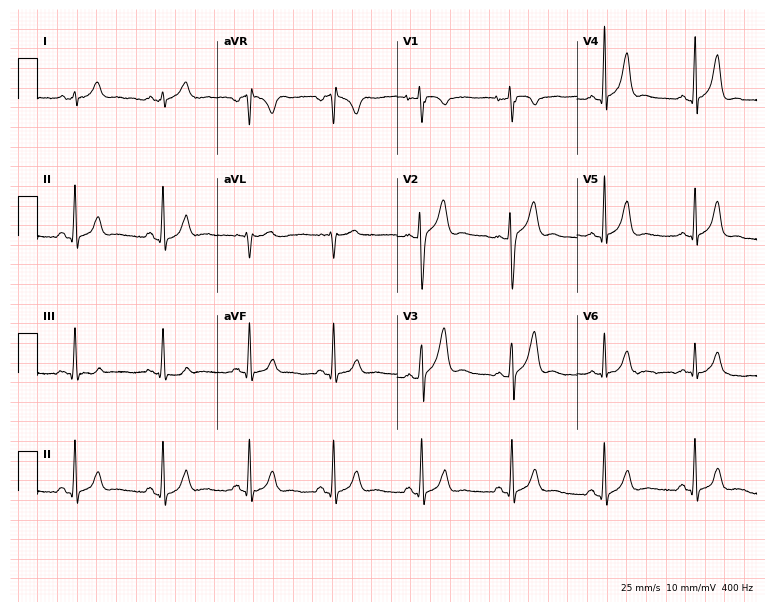
Electrocardiogram, a 43-year-old man. Overall reading on record: normal ECG.